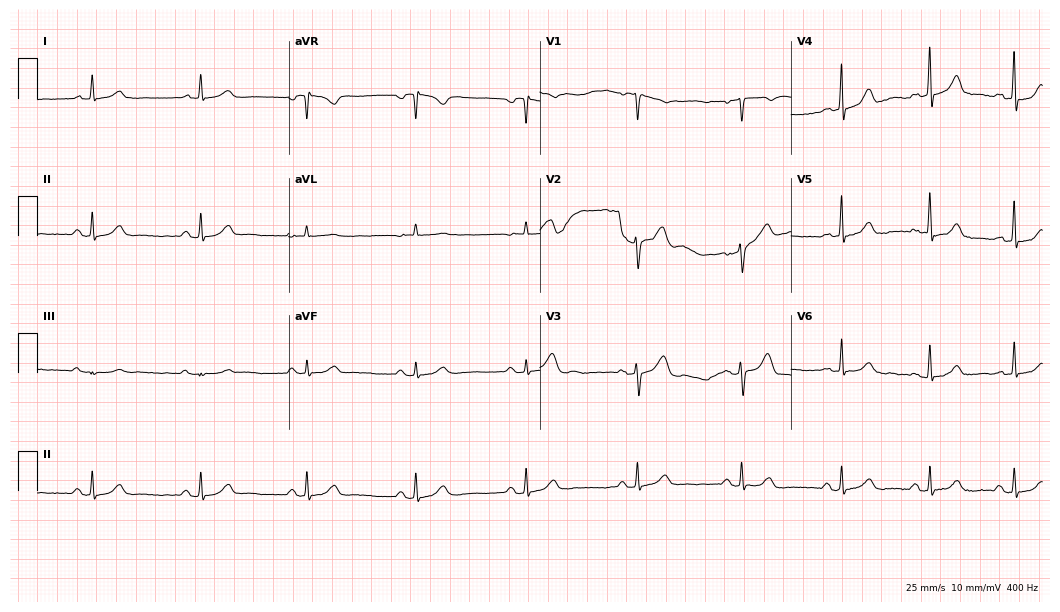
Electrocardiogram (10.2-second recording at 400 Hz), a woman, 59 years old. Overall reading on record: normal ECG.